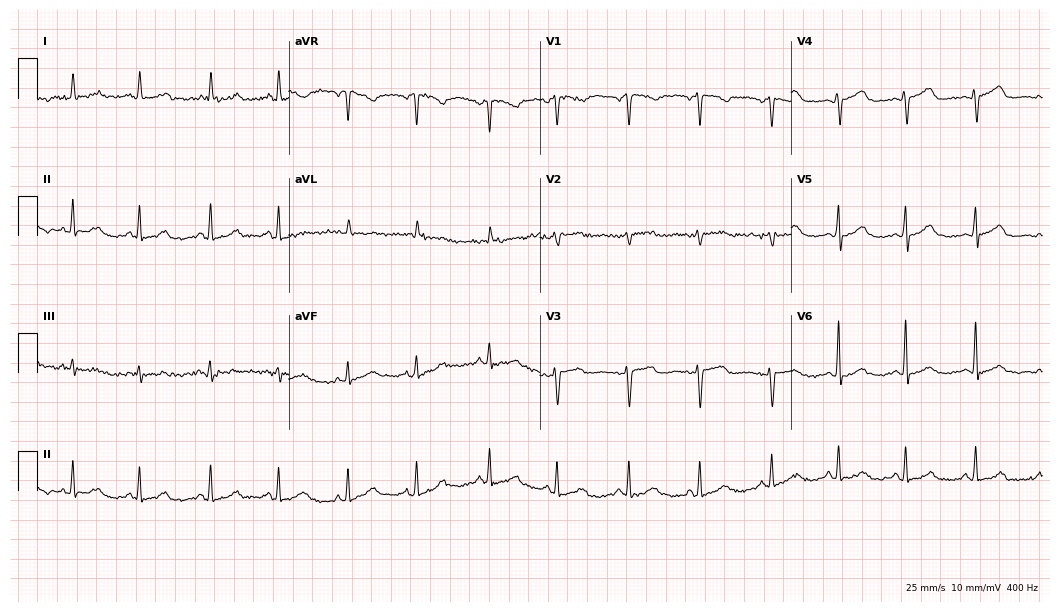
12-lead ECG from a 51-year-old female. Recorded interpretation: within normal limits.